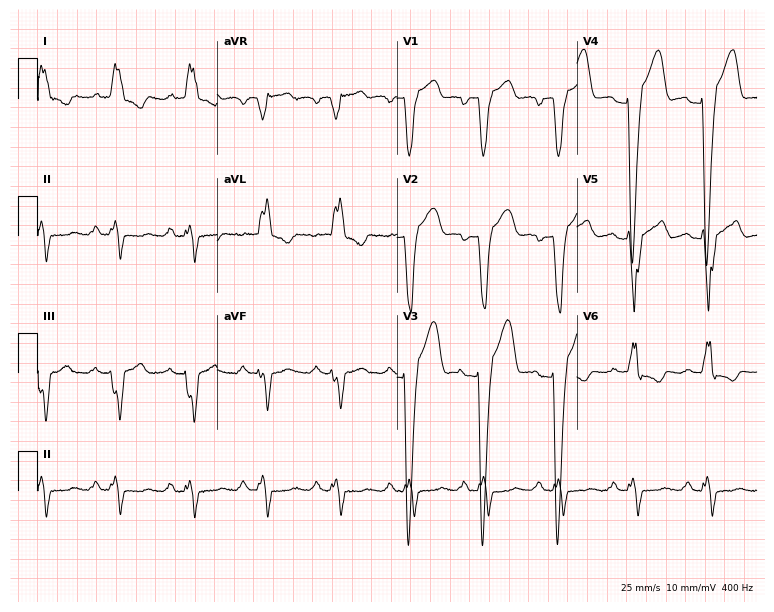
ECG — a man, 53 years old. Findings include left bundle branch block.